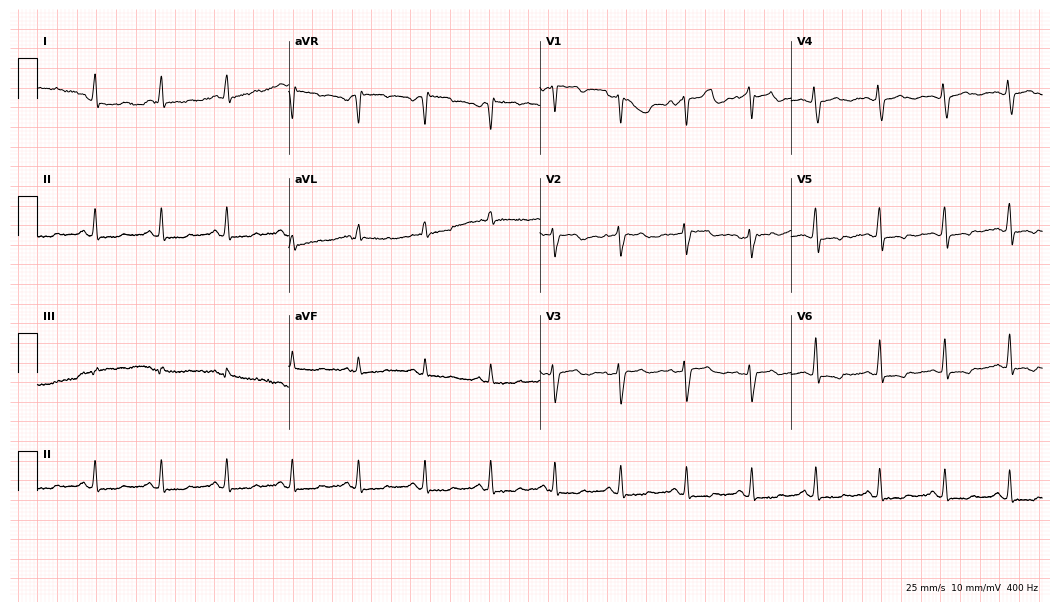
12-lead ECG (10.2-second recording at 400 Hz) from a 65-year-old female. Screened for six findings — first-degree AV block, right bundle branch block, left bundle branch block, sinus bradycardia, atrial fibrillation, sinus tachycardia — none is recorded. Other findings, if any, are not listed.